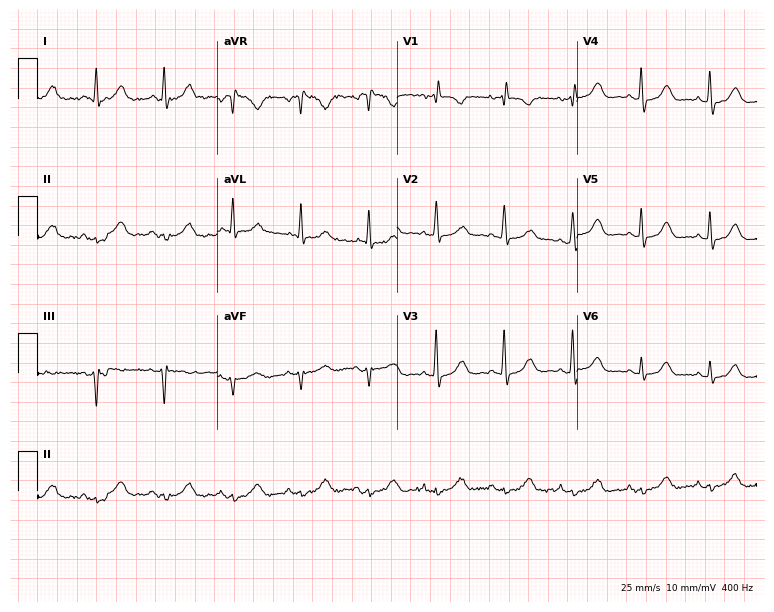
ECG — a 75-year-old female patient. Screened for six findings — first-degree AV block, right bundle branch block, left bundle branch block, sinus bradycardia, atrial fibrillation, sinus tachycardia — none is recorded.